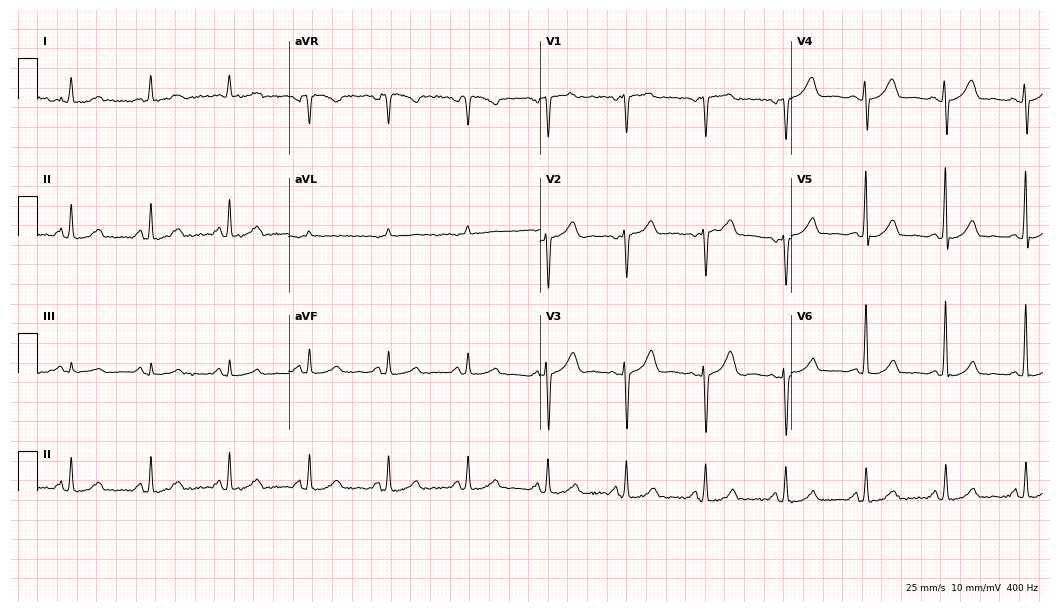
Standard 12-lead ECG recorded from a female, 52 years old. None of these six findings is recorded: first-degree AV block, right bundle branch block (RBBB), left bundle branch block (LBBB), sinus bradycardia, atrial fibrillation (AF), sinus tachycardia.